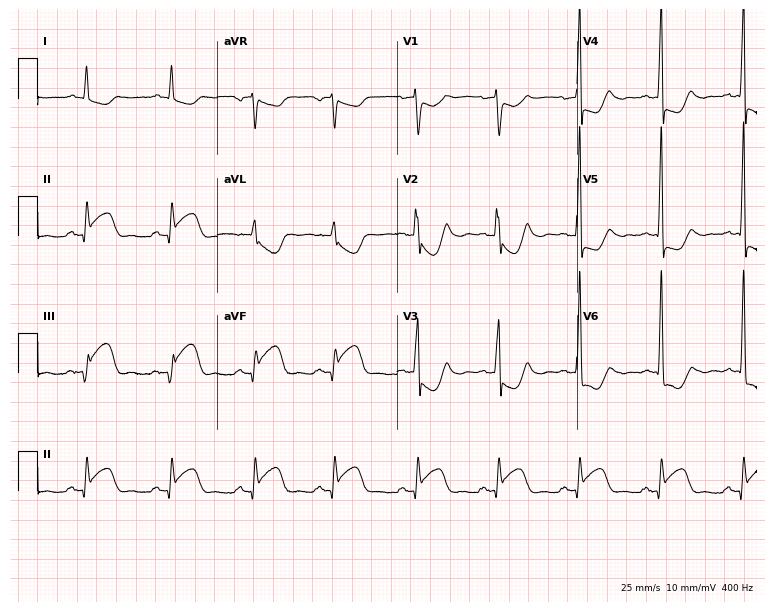
Electrocardiogram, a male patient, 64 years old. Of the six screened findings (first-degree AV block, right bundle branch block, left bundle branch block, sinus bradycardia, atrial fibrillation, sinus tachycardia), none is recorded.